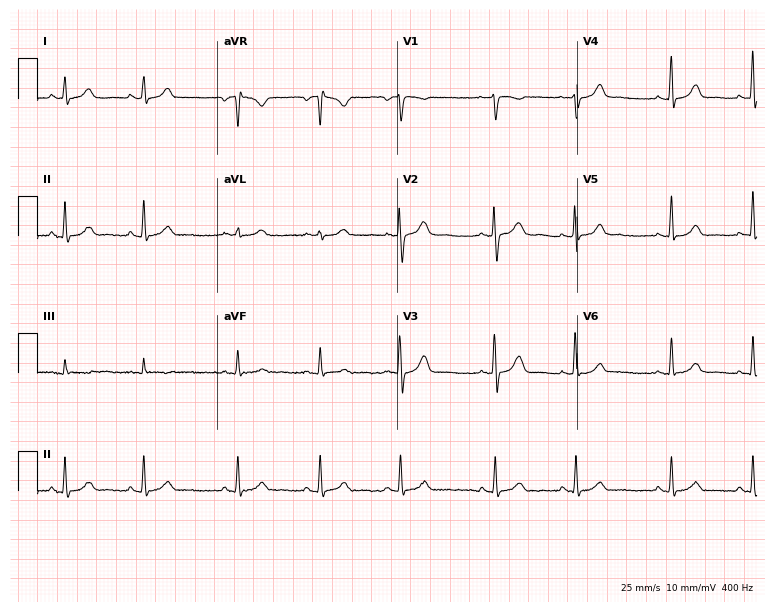
12-lead ECG from a female, 22 years old (7.3-second recording at 400 Hz). Recorded interpretation: within normal limits.